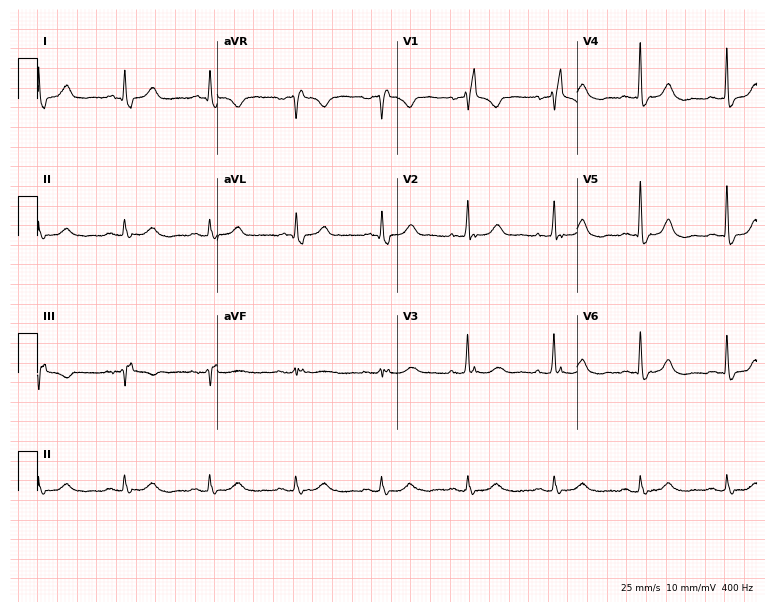
Resting 12-lead electrocardiogram. Patient: a 76-year-old woman. The tracing shows right bundle branch block (RBBB).